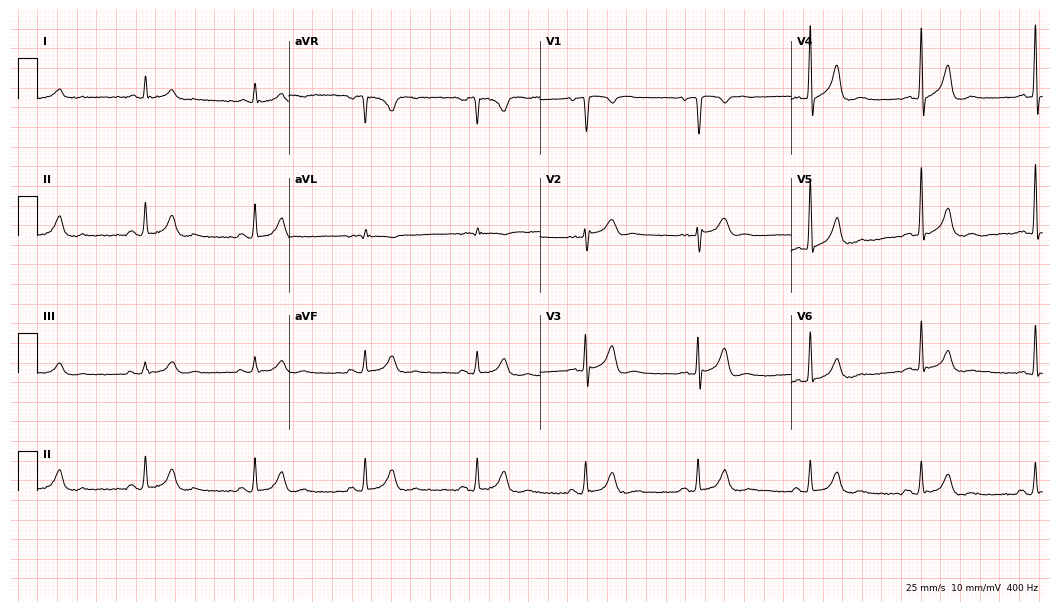
Electrocardiogram, a male, 53 years old. Overall reading on record: normal ECG.